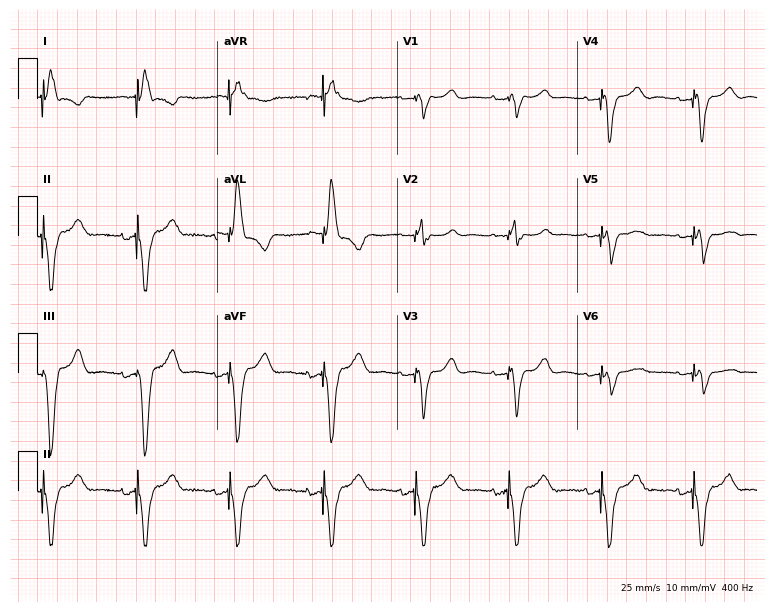
ECG (7.3-second recording at 400 Hz) — an 82-year-old female. Screened for six findings — first-degree AV block, right bundle branch block (RBBB), left bundle branch block (LBBB), sinus bradycardia, atrial fibrillation (AF), sinus tachycardia — none is recorded. Other findings, if any, are not listed.